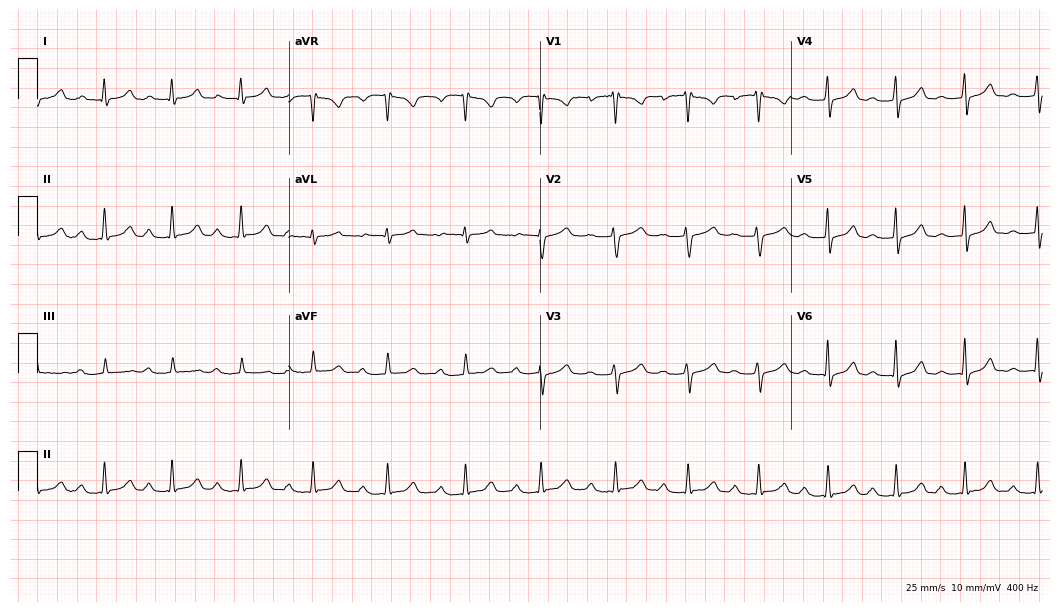
ECG — a female patient, 40 years old. Findings include first-degree AV block.